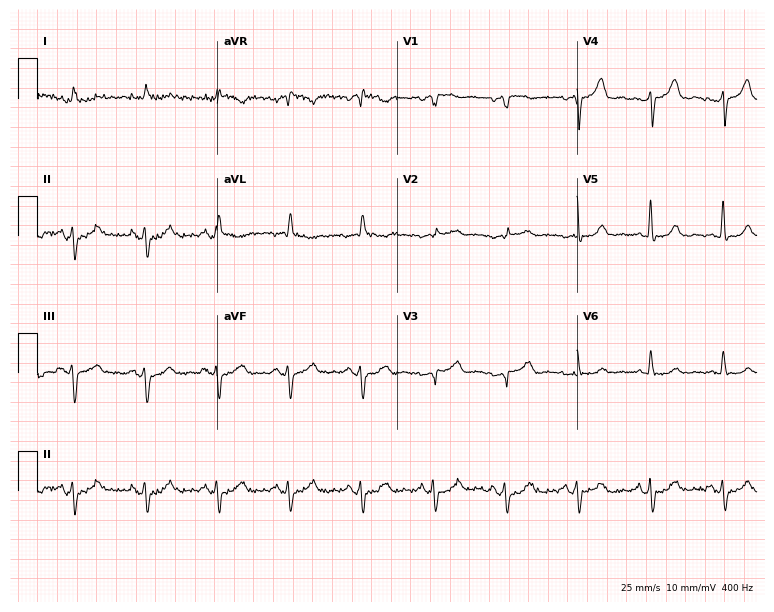
Standard 12-lead ECG recorded from a male, 82 years old (7.3-second recording at 400 Hz). None of these six findings is recorded: first-degree AV block, right bundle branch block, left bundle branch block, sinus bradycardia, atrial fibrillation, sinus tachycardia. Findings outside these six are not listed.